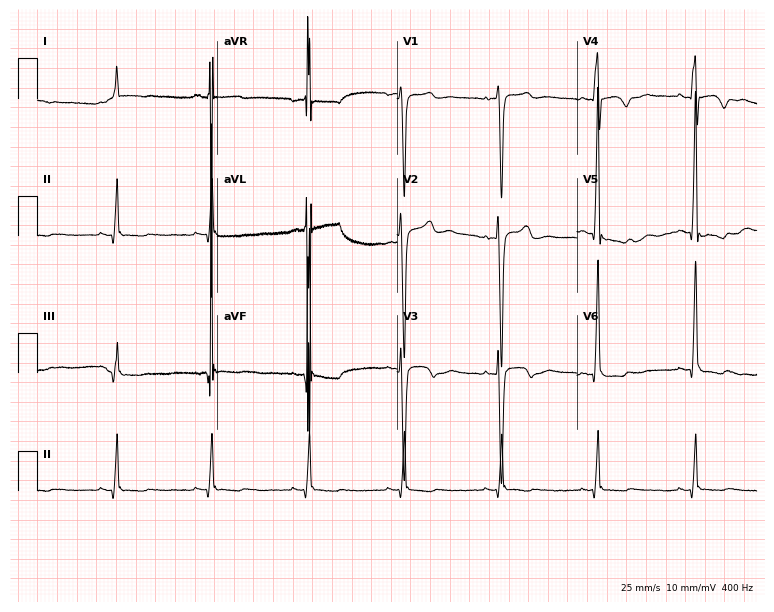
Resting 12-lead electrocardiogram. Patient: a 49-year-old male. None of these six findings is recorded: first-degree AV block, right bundle branch block, left bundle branch block, sinus bradycardia, atrial fibrillation, sinus tachycardia. Only these six findings were labelled.